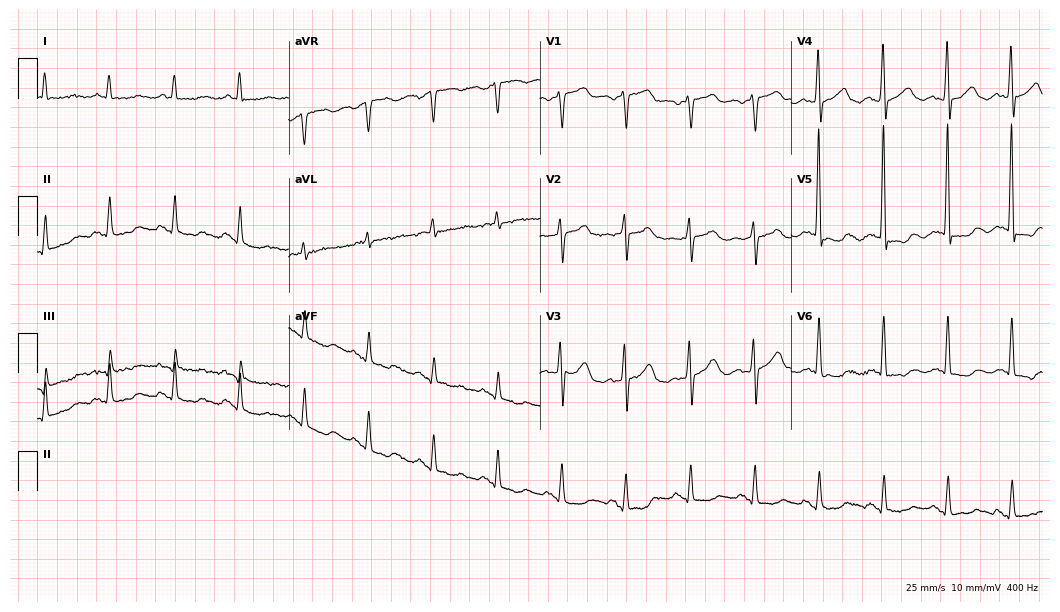
12-lead ECG from a male, 82 years old. Screened for six findings — first-degree AV block, right bundle branch block, left bundle branch block, sinus bradycardia, atrial fibrillation, sinus tachycardia — none is recorded.